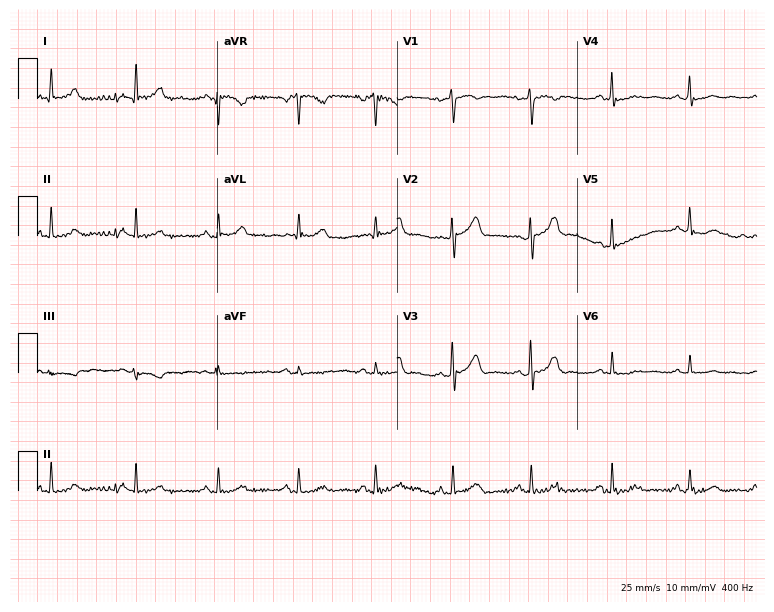
ECG (7.3-second recording at 400 Hz) — a 62-year-old female. Screened for six findings — first-degree AV block, right bundle branch block (RBBB), left bundle branch block (LBBB), sinus bradycardia, atrial fibrillation (AF), sinus tachycardia — none is recorded.